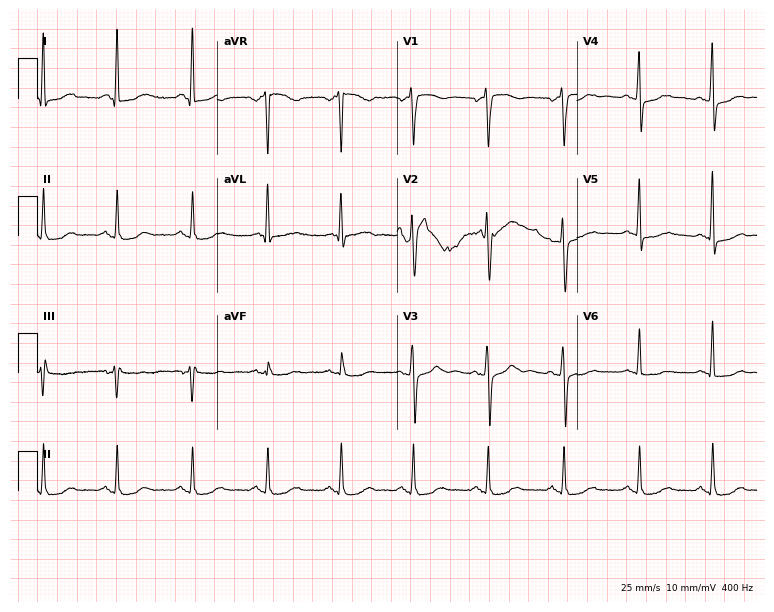
Standard 12-lead ECG recorded from a 57-year-old woman (7.3-second recording at 400 Hz). None of these six findings is recorded: first-degree AV block, right bundle branch block, left bundle branch block, sinus bradycardia, atrial fibrillation, sinus tachycardia. Only these six findings were labelled.